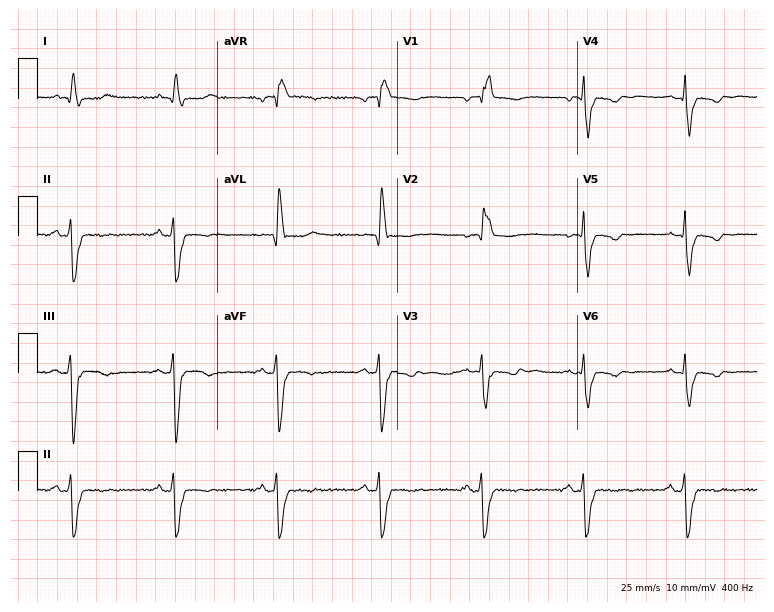
Resting 12-lead electrocardiogram. Patient: a female, 70 years old. The tracing shows right bundle branch block.